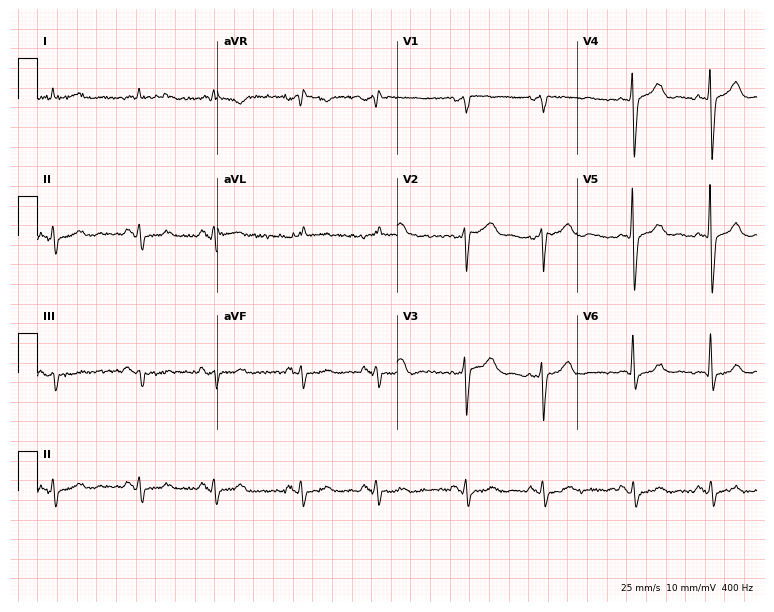
12-lead ECG from an 84-year-old male patient (7.3-second recording at 400 Hz). No first-degree AV block, right bundle branch block (RBBB), left bundle branch block (LBBB), sinus bradycardia, atrial fibrillation (AF) or sinus tachycardia recorded for this tracing.